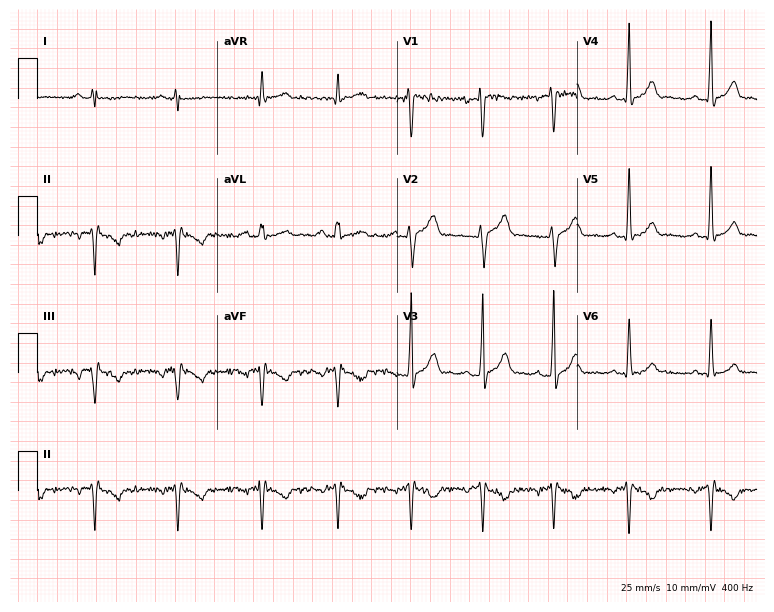
12-lead ECG from a 28-year-old male. Screened for six findings — first-degree AV block, right bundle branch block, left bundle branch block, sinus bradycardia, atrial fibrillation, sinus tachycardia — none is recorded.